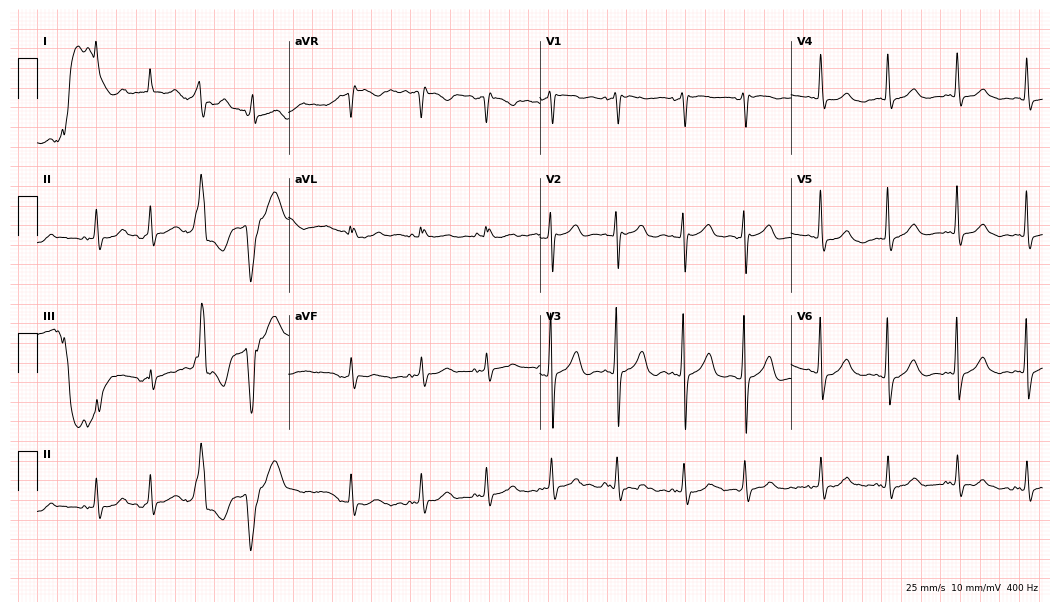
12-lead ECG from a female, 75 years old. No first-degree AV block, right bundle branch block, left bundle branch block, sinus bradycardia, atrial fibrillation or sinus tachycardia recorded for this tracing.